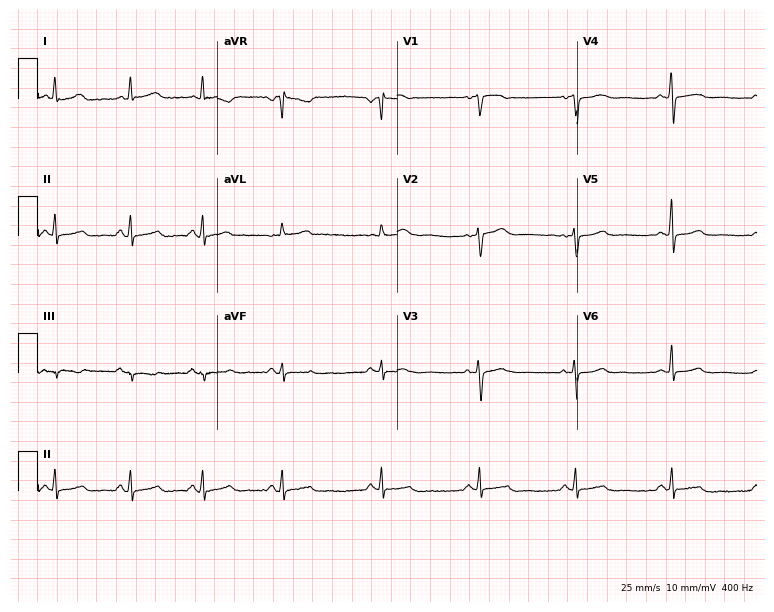
12-lead ECG (7.3-second recording at 400 Hz) from a 56-year-old female patient. Screened for six findings — first-degree AV block, right bundle branch block, left bundle branch block, sinus bradycardia, atrial fibrillation, sinus tachycardia — none is recorded. Only these six findings were labelled.